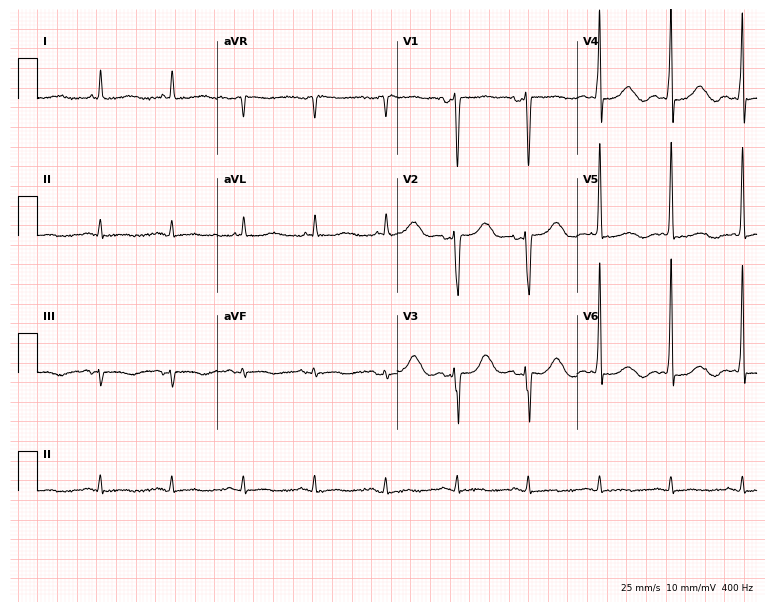
ECG — a woman, 68 years old. Screened for six findings — first-degree AV block, right bundle branch block, left bundle branch block, sinus bradycardia, atrial fibrillation, sinus tachycardia — none is recorded. Other findings, if any, are not listed.